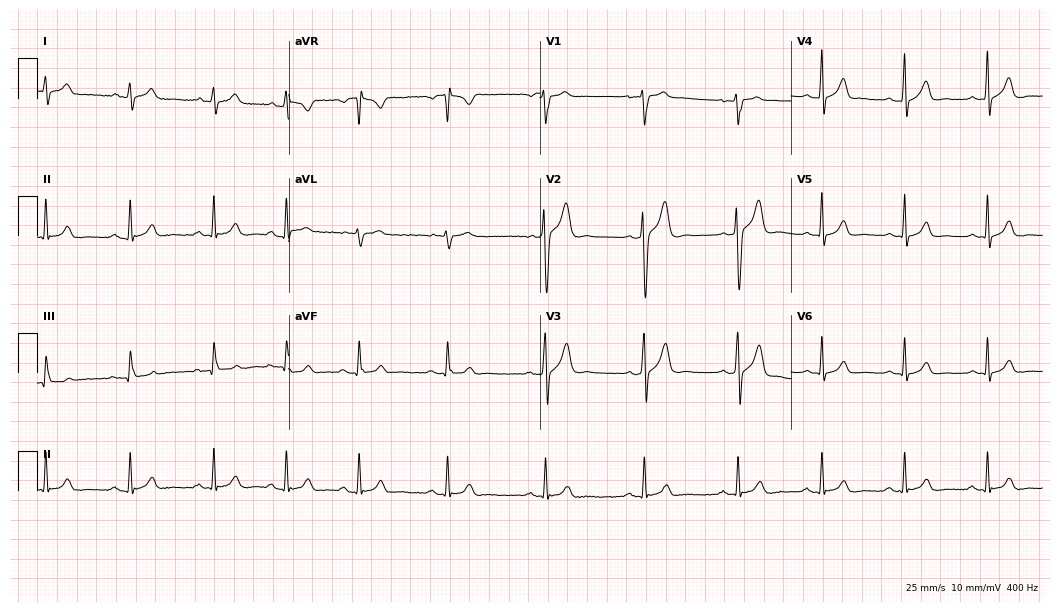
ECG (10.2-second recording at 400 Hz) — a 23-year-old female. Labelled as a normal ECG.